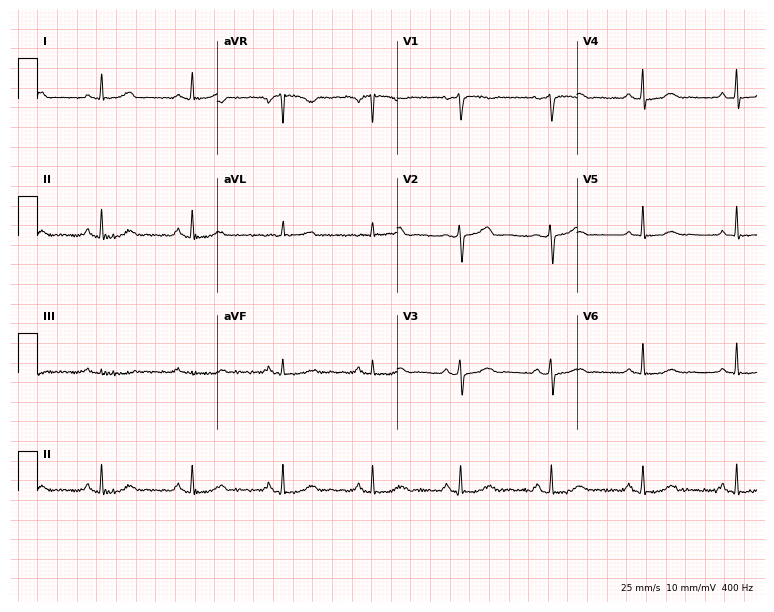
ECG (7.3-second recording at 400 Hz) — a woman, 60 years old. Screened for six findings — first-degree AV block, right bundle branch block, left bundle branch block, sinus bradycardia, atrial fibrillation, sinus tachycardia — none is recorded. Only these six findings were labelled.